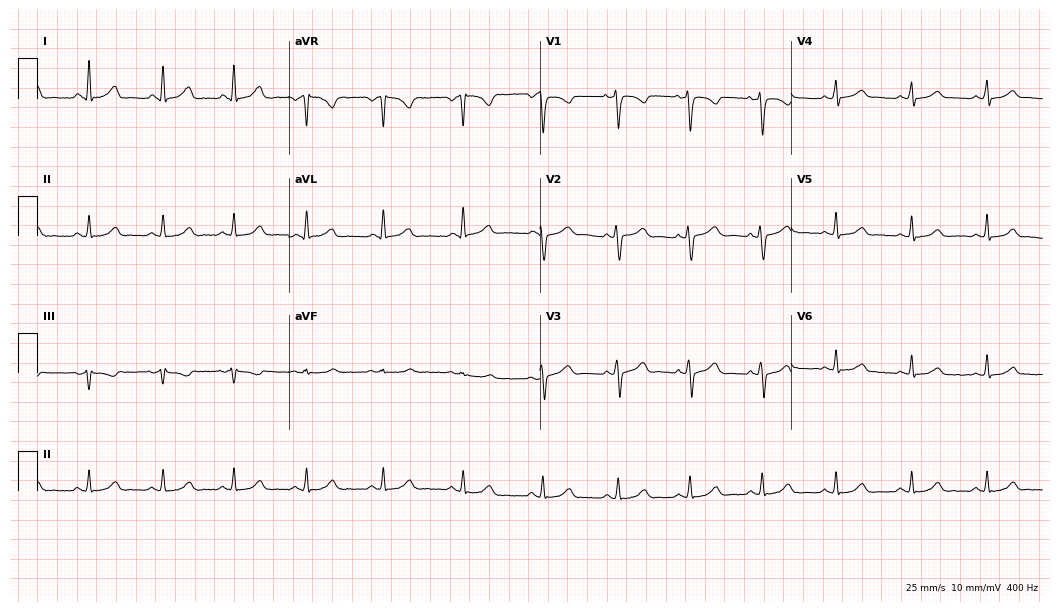
Electrocardiogram, a 31-year-old female patient. Overall reading on record: normal ECG.